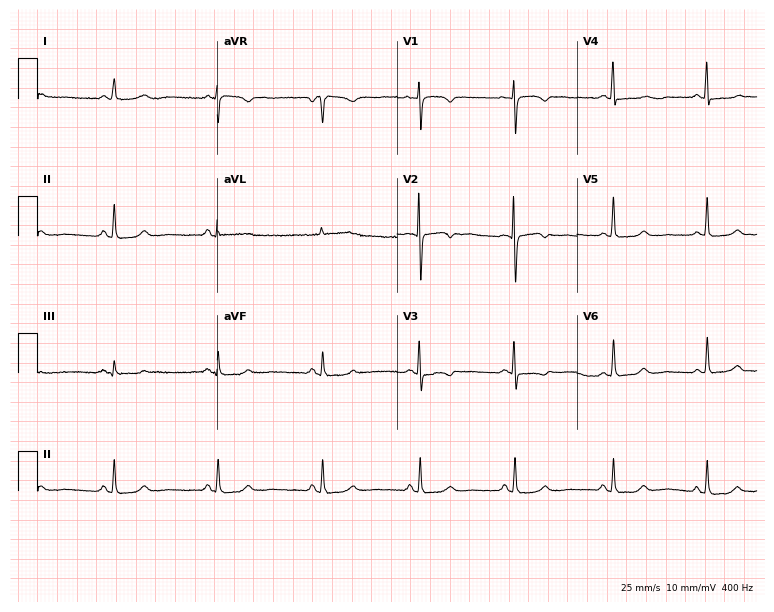
Standard 12-lead ECG recorded from a woman, 56 years old. None of these six findings is recorded: first-degree AV block, right bundle branch block (RBBB), left bundle branch block (LBBB), sinus bradycardia, atrial fibrillation (AF), sinus tachycardia.